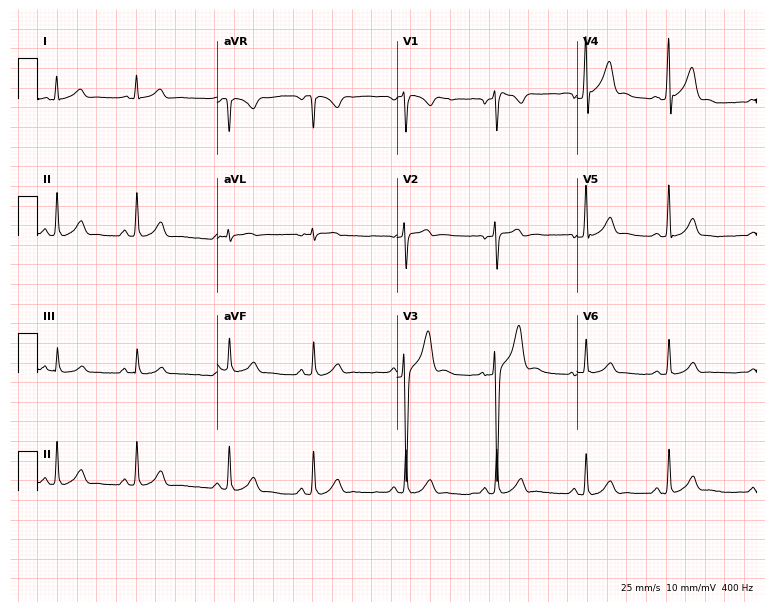
Resting 12-lead electrocardiogram (7.3-second recording at 400 Hz). Patient: a male, 18 years old. None of these six findings is recorded: first-degree AV block, right bundle branch block (RBBB), left bundle branch block (LBBB), sinus bradycardia, atrial fibrillation (AF), sinus tachycardia. Other findings, if any, are not listed.